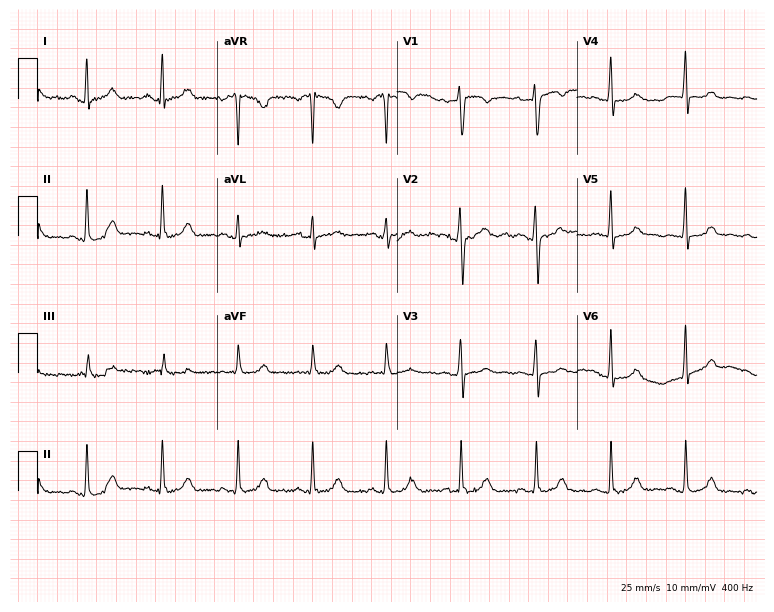
Resting 12-lead electrocardiogram. Patient: a female, 35 years old. None of these six findings is recorded: first-degree AV block, right bundle branch block, left bundle branch block, sinus bradycardia, atrial fibrillation, sinus tachycardia. Only these six findings were labelled.